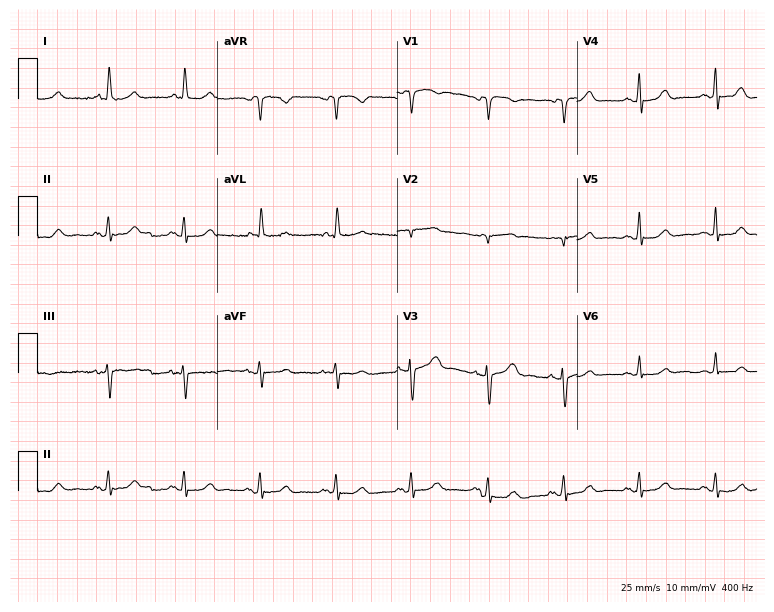
Standard 12-lead ECG recorded from a 75-year-old female. None of these six findings is recorded: first-degree AV block, right bundle branch block, left bundle branch block, sinus bradycardia, atrial fibrillation, sinus tachycardia. Other findings, if any, are not listed.